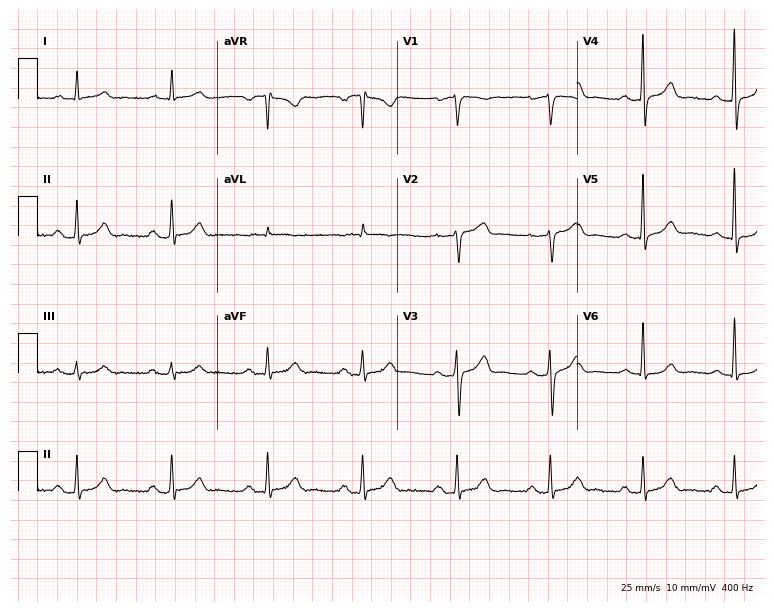
ECG — a 70-year-old woman. Labelled as a normal ECG.